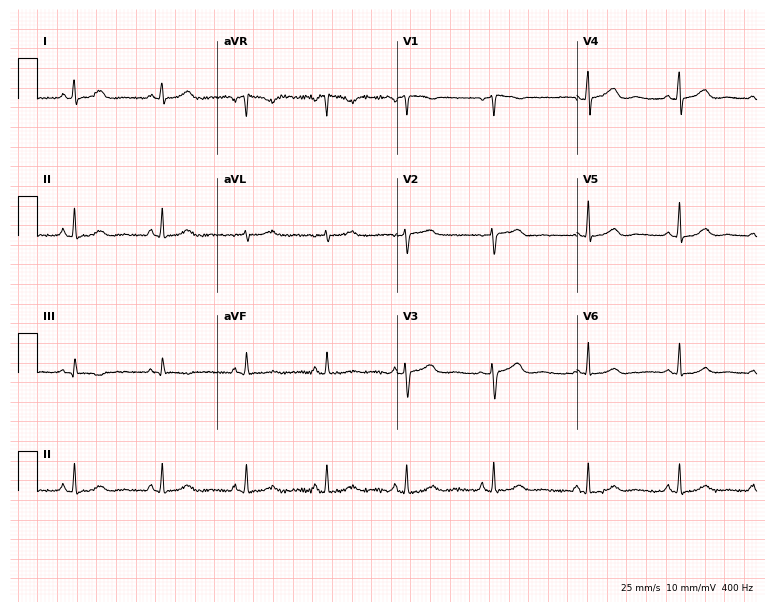
12-lead ECG from a 47-year-old female patient. Labelled as a normal ECG.